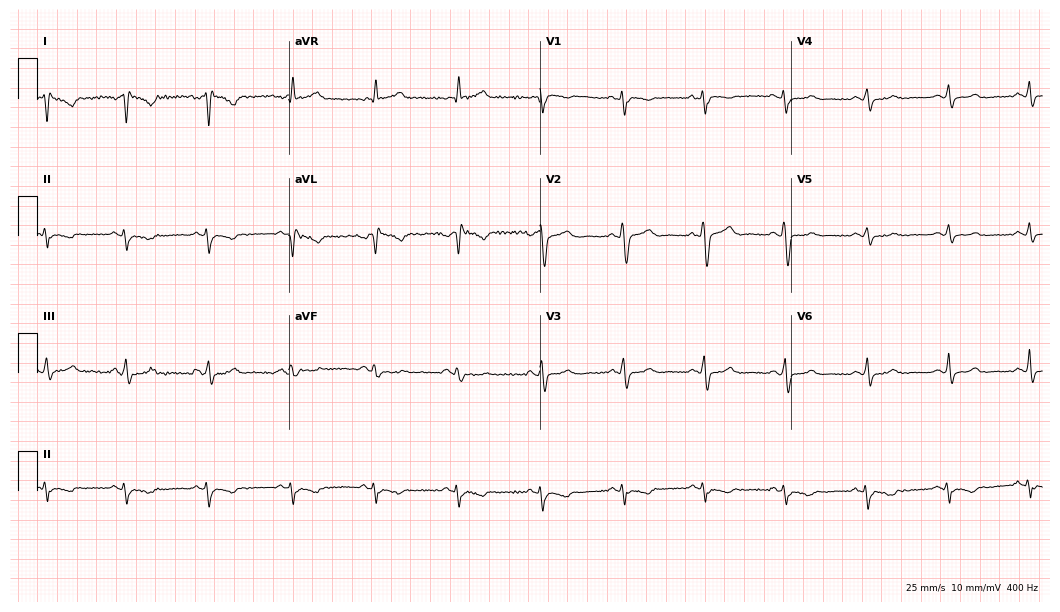
12-lead ECG from a man, 59 years old (10.2-second recording at 400 Hz). No first-degree AV block, right bundle branch block, left bundle branch block, sinus bradycardia, atrial fibrillation or sinus tachycardia recorded for this tracing.